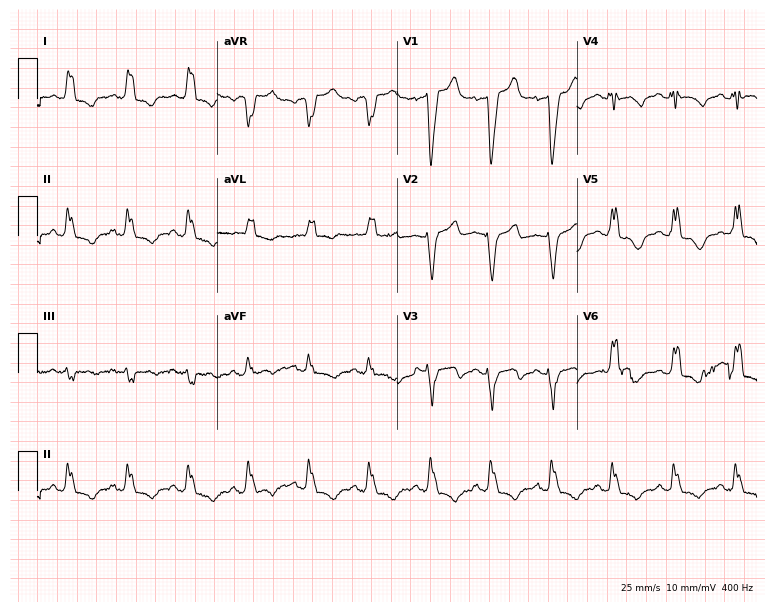
12-lead ECG (7.3-second recording at 400 Hz) from a male, 65 years old. Findings include left bundle branch block (LBBB).